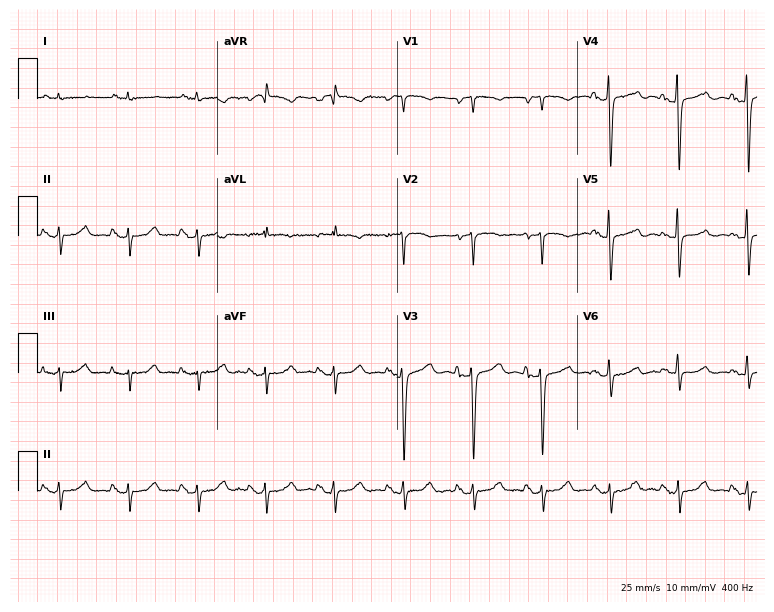
12-lead ECG (7.3-second recording at 400 Hz) from a female patient, 70 years old. Screened for six findings — first-degree AV block, right bundle branch block, left bundle branch block, sinus bradycardia, atrial fibrillation, sinus tachycardia — none is recorded. Other findings, if any, are not listed.